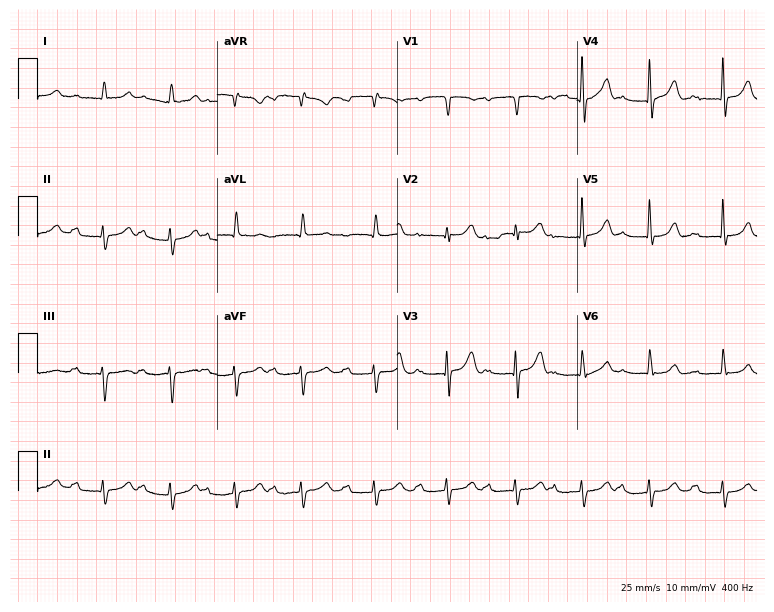
Standard 12-lead ECG recorded from an 83-year-old male patient. The tracing shows first-degree AV block.